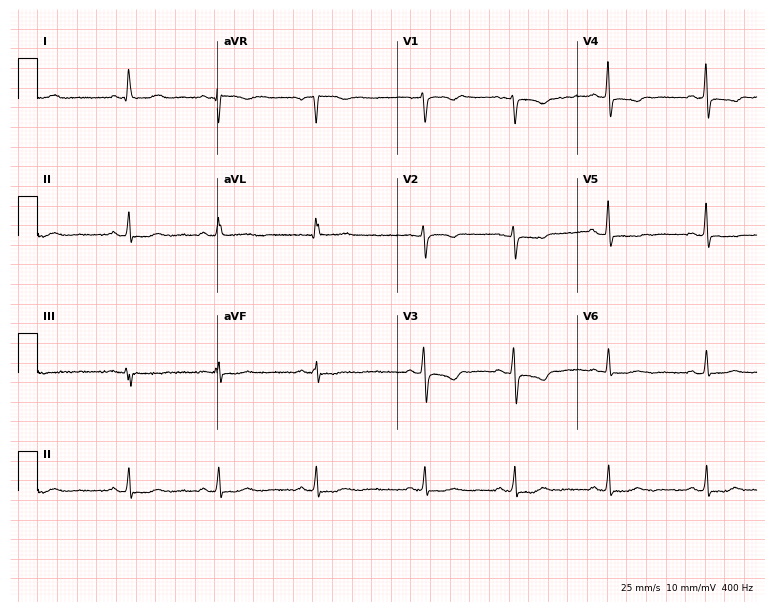
Resting 12-lead electrocardiogram. Patient: a 58-year-old female. None of these six findings is recorded: first-degree AV block, right bundle branch block (RBBB), left bundle branch block (LBBB), sinus bradycardia, atrial fibrillation (AF), sinus tachycardia. Other findings, if any, are not listed.